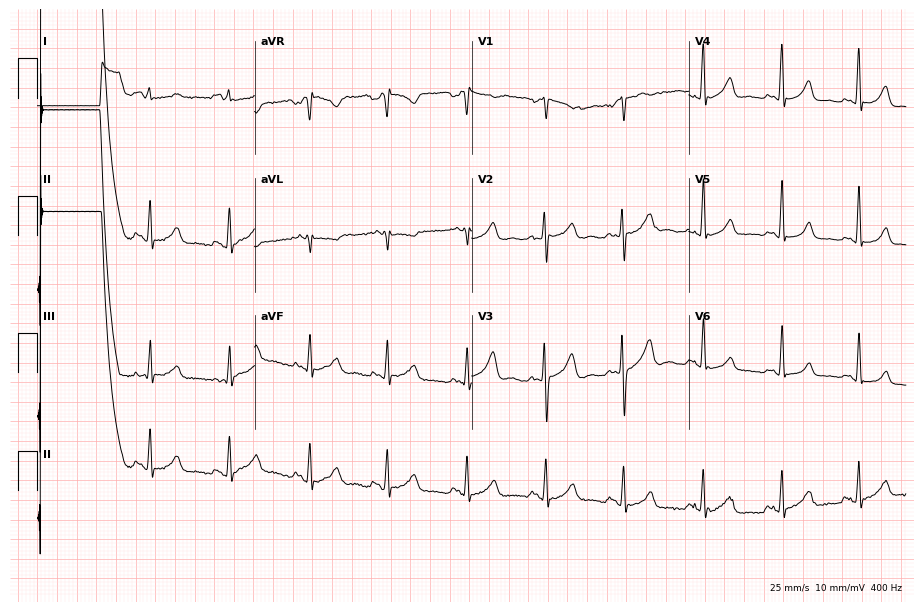
12-lead ECG from a female patient, 23 years old (8.9-second recording at 400 Hz). Recorded interpretation: within normal limits.